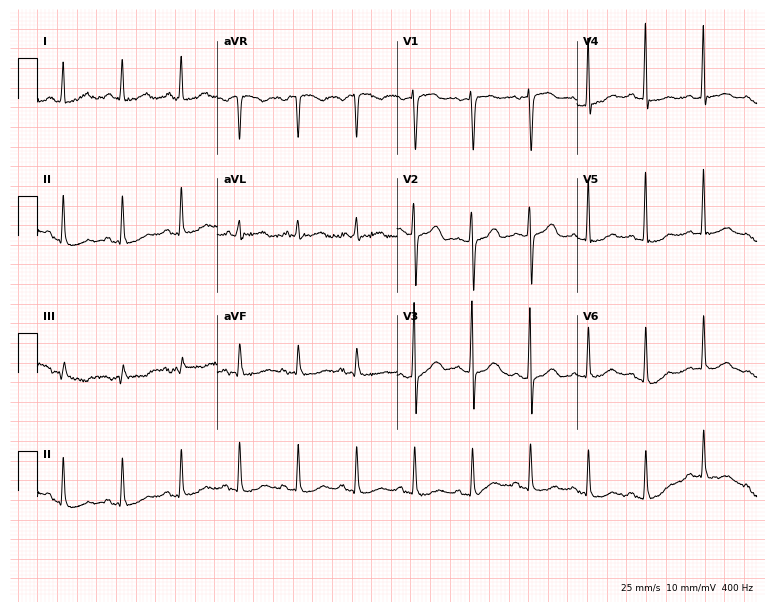
Electrocardiogram (7.3-second recording at 400 Hz), an 81-year-old female. Of the six screened findings (first-degree AV block, right bundle branch block, left bundle branch block, sinus bradycardia, atrial fibrillation, sinus tachycardia), none is recorded. Findings outside these six are not listed.